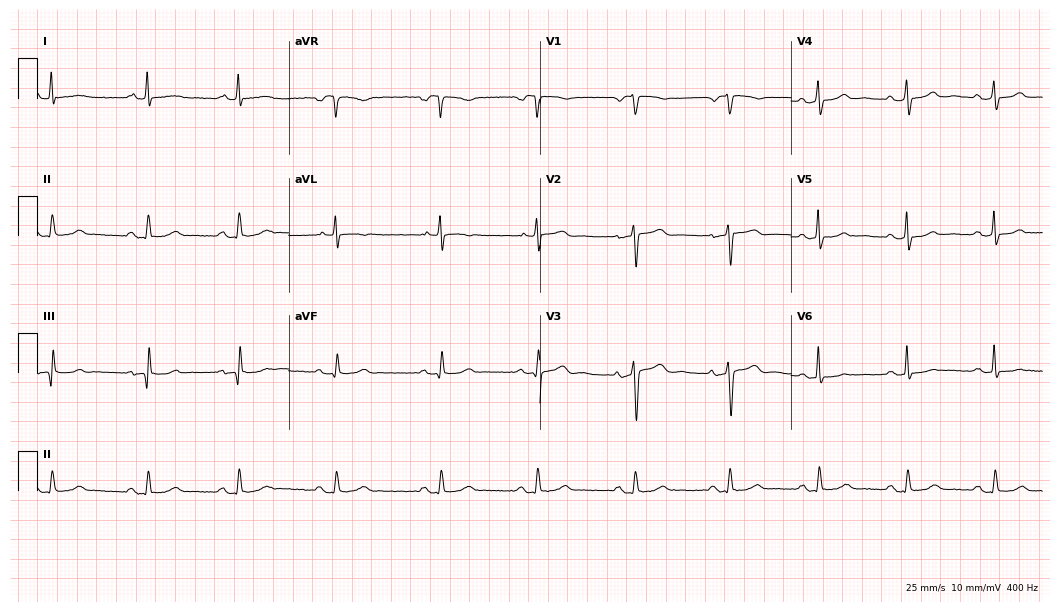
Resting 12-lead electrocardiogram (10.2-second recording at 400 Hz). Patient: a female, 49 years old. Read as a normal ECG.